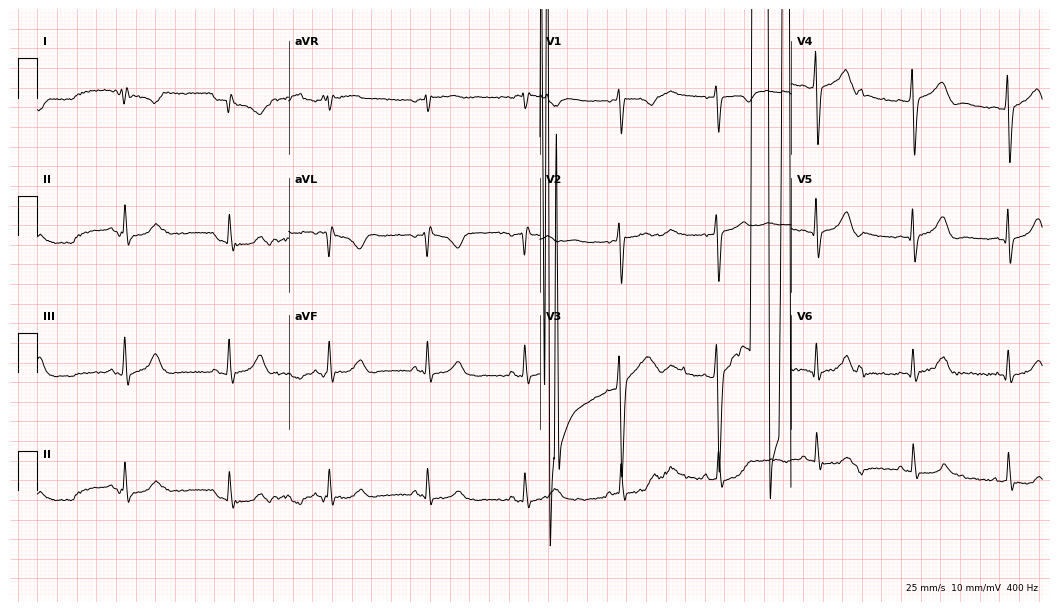
12-lead ECG (10.2-second recording at 400 Hz) from a male, 20 years old. Screened for six findings — first-degree AV block, right bundle branch block, left bundle branch block, sinus bradycardia, atrial fibrillation, sinus tachycardia — none is recorded. Only these six findings were labelled.